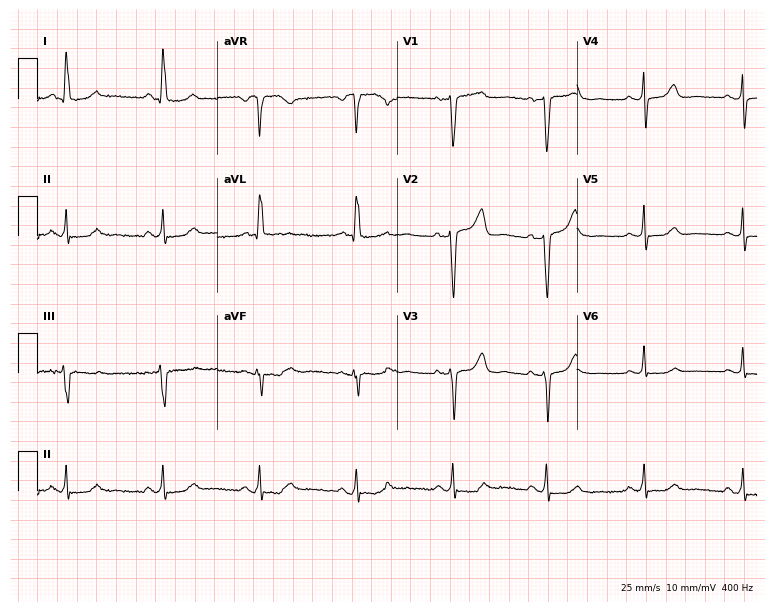
Resting 12-lead electrocardiogram. Patient: a 64-year-old female. None of these six findings is recorded: first-degree AV block, right bundle branch block, left bundle branch block, sinus bradycardia, atrial fibrillation, sinus tachycardia. Findings outside these six are not listed.